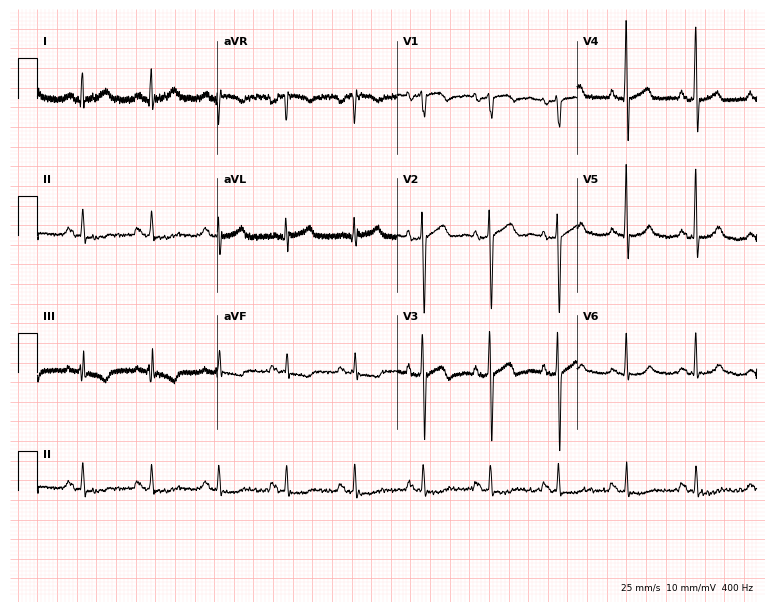
12-lead ECG from a male, 51 years old. No first-degree AV block, right bundle branch block, left bundle branch block, sinus bradycardia, atrial fibrillation or sinus tachycardia recorded for this tracing.